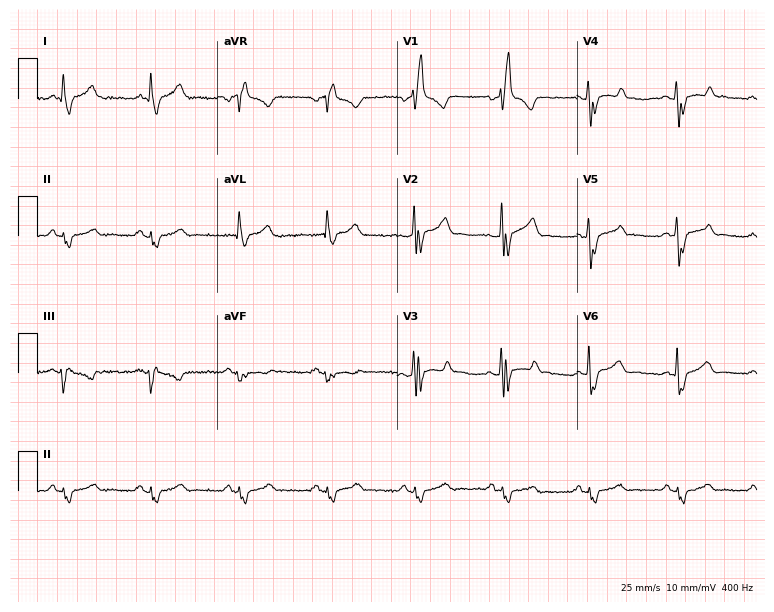
12-lead ECG (7.3-second recording at 400 Hz) from a man, 76 years old. Screened for six findings — first-degree AV block, right bundle branch block, left bundle branch block, sinus bradycardia, atrial fibrillation, sinus tachycardia — none is recorded. Other findings, if any, are not listed.